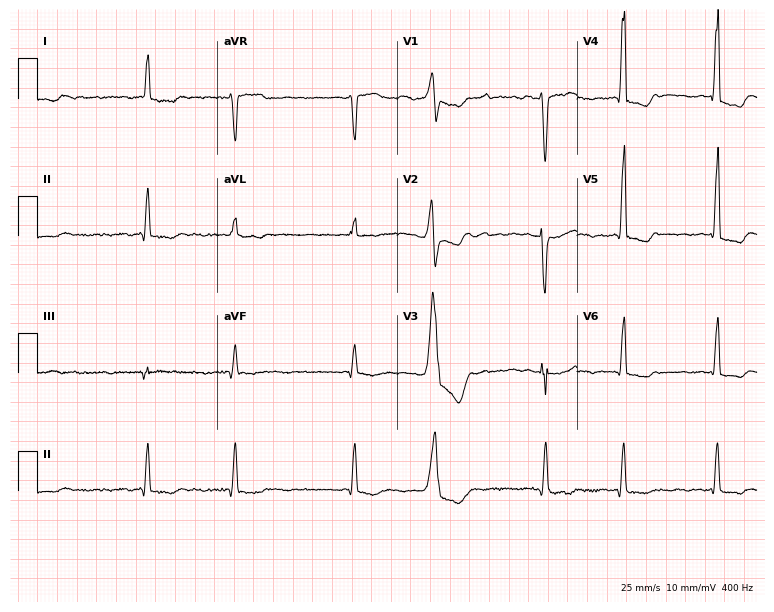
Standard 12-lead ECG recorded from a 67-year-old female. The tracing shows atrial fibrillation.